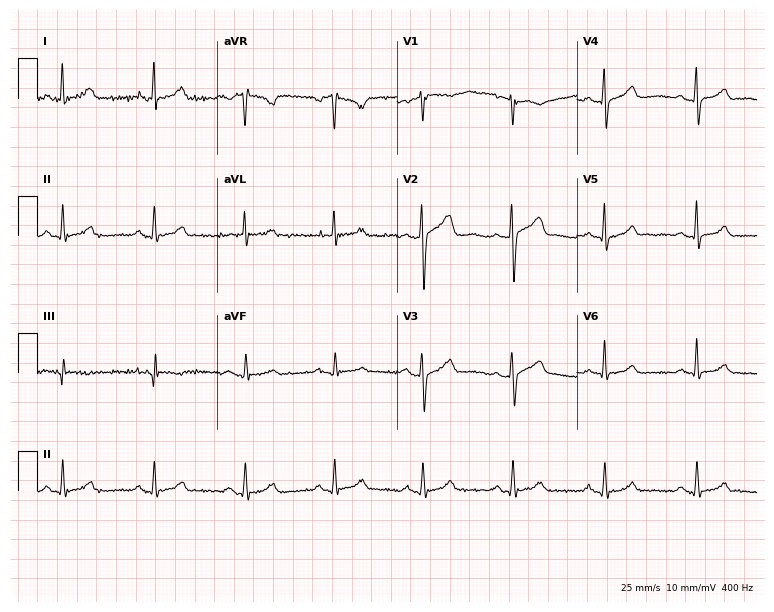
12-lead ECG from a 56-year-old male. Recorded interpretation: within normal limits.